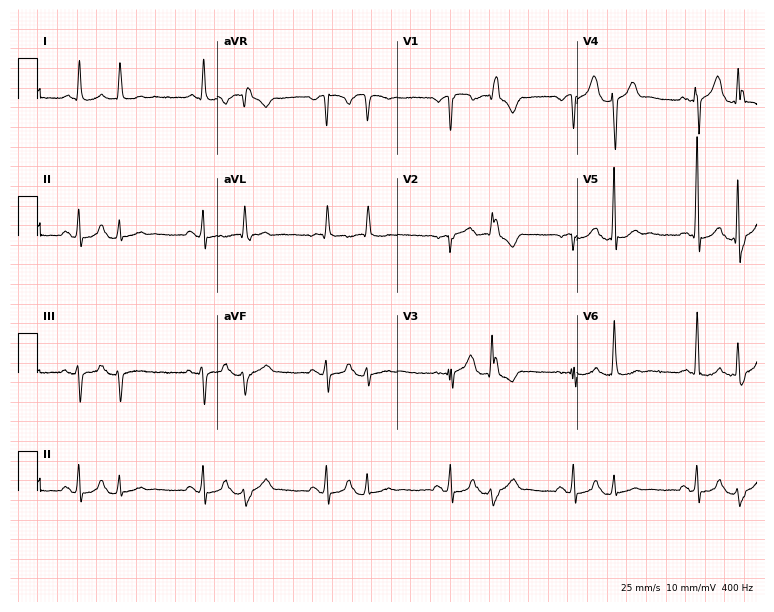
ECG — a male, 78 years old. Screened for six findings — first-degree AV block, right bundle branch block, left bundle branch block, sinus bradycardia, atrial fibrillation, sinus tachycardia — none is recorded. Other findings, if any, are not listed.